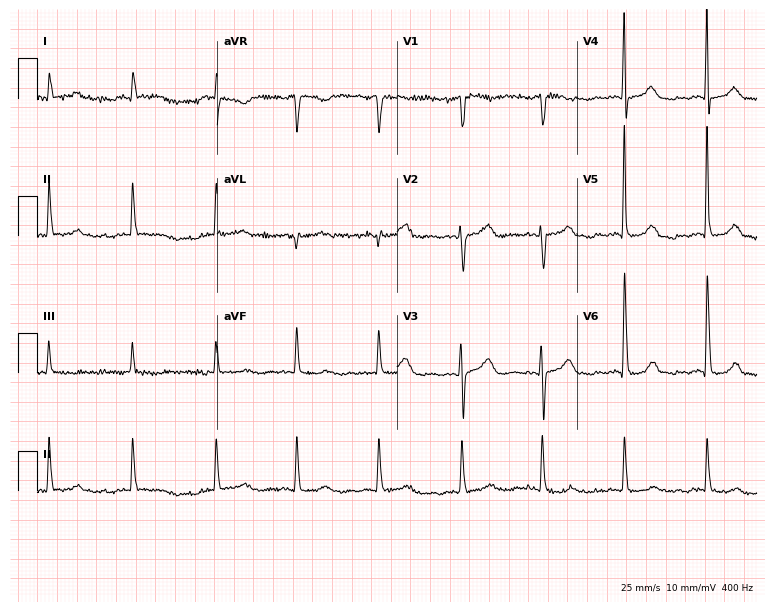
12-lead ECG from a 66-year-old woman. No first-degree AV block, right bundle branch block, left bundle branch block, sinus bradycardia, atrial fibrillation or sinus tachycardia recorded for this tracing.